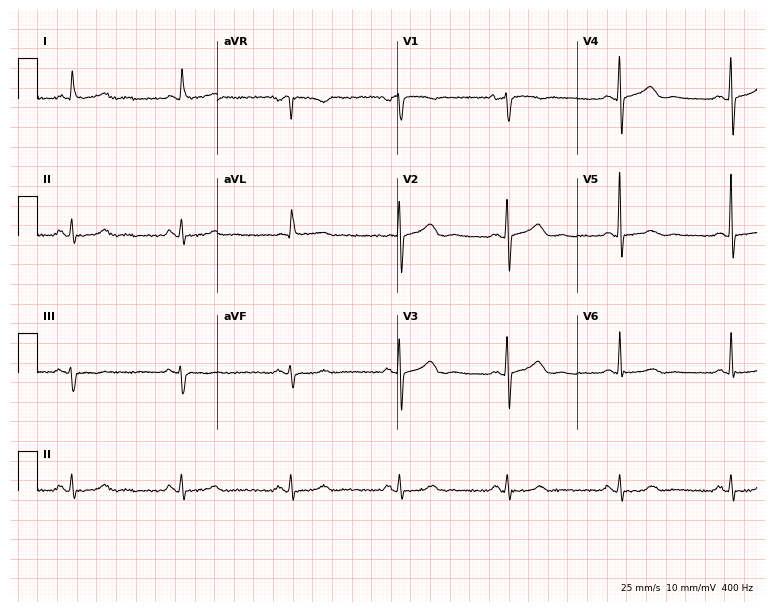
Electrocardiogram (7.3-second recording at 400 Hz), a 77-year-old female patient. Overall reading on record: normal ECG.